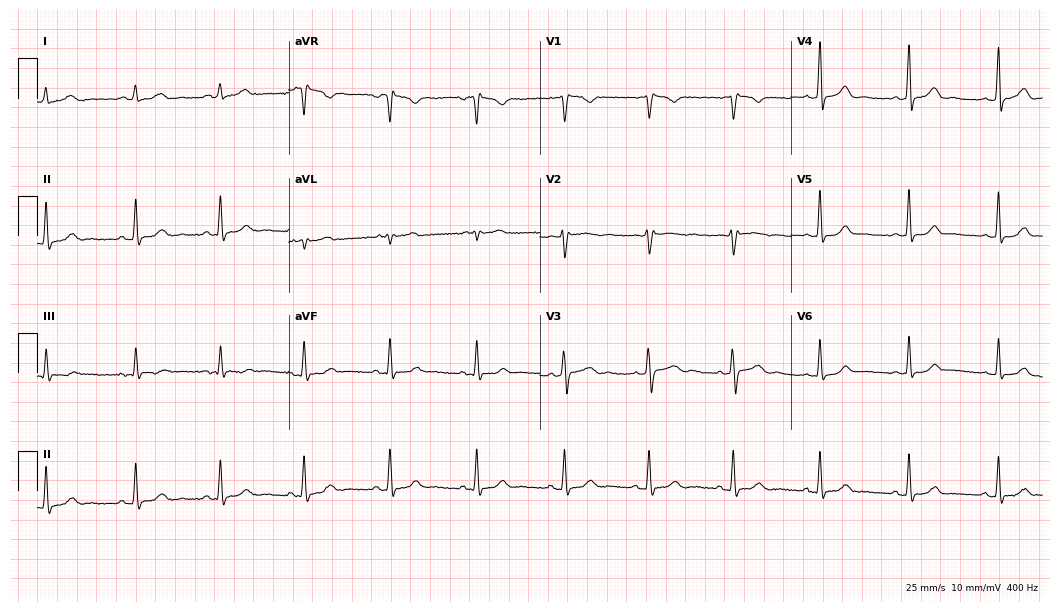
Resting 12-lead electrocardiogram. Patient: a female, 29 years old. None of these six findings is recorded: first-degree AV block, right bundle branch block, left bundle branch block, sinus bradycardia, atrial fibrillation, sinus tachycardia.